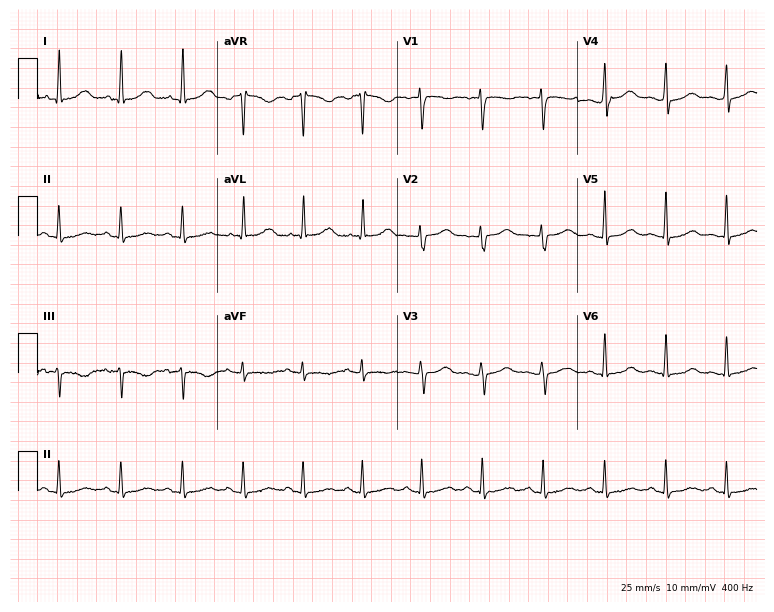
Electrocardiogram (7.3-second recording at 400 Hz), a 36-year-old female. Of the six screened findings (first-degree AV block, right bundle branch block (RBBB), left bundle branch block (LBBB), sinus bradycardia, atrial fibrillation (AF), sinus tachycardia), none is recorded. Other findings, if any, are not listed.